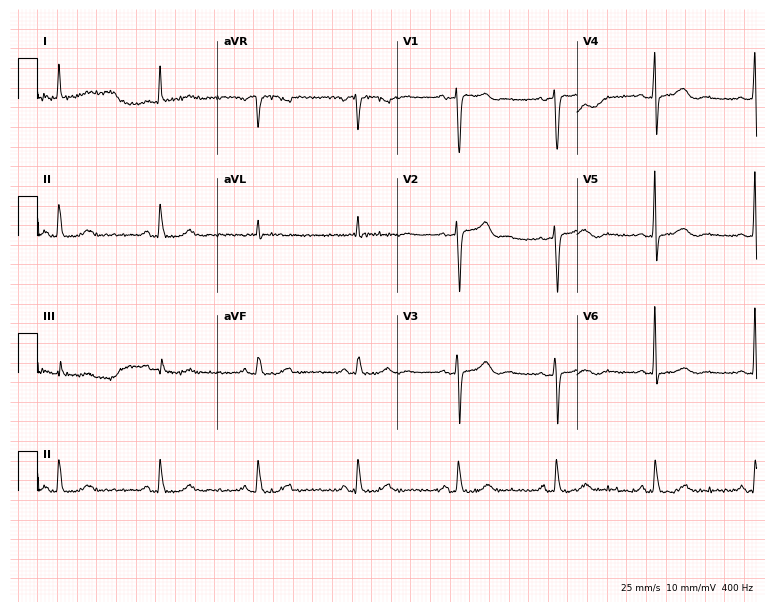
Standard 12-lead ECG recorded from a female, 61 years old. None of these six findings is recorded: first-degree AV block, right bundle branch block, left bundle branch block, sinus bradycardia, atrial fibrillation, sinus tachycardia. Only these six findings were labelled.